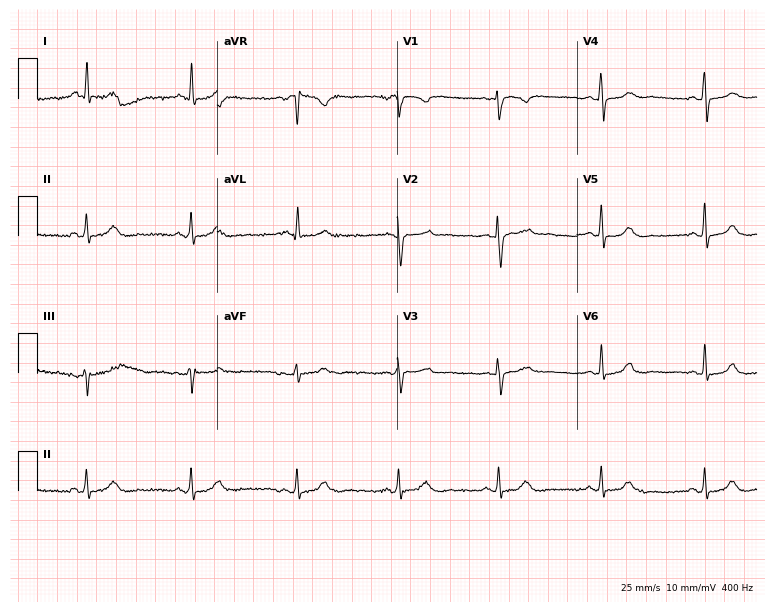
12-lead ECG (7.3-second recording at 400 Hz) from a 36-year-old female patient. Labelled as a normal ECG.